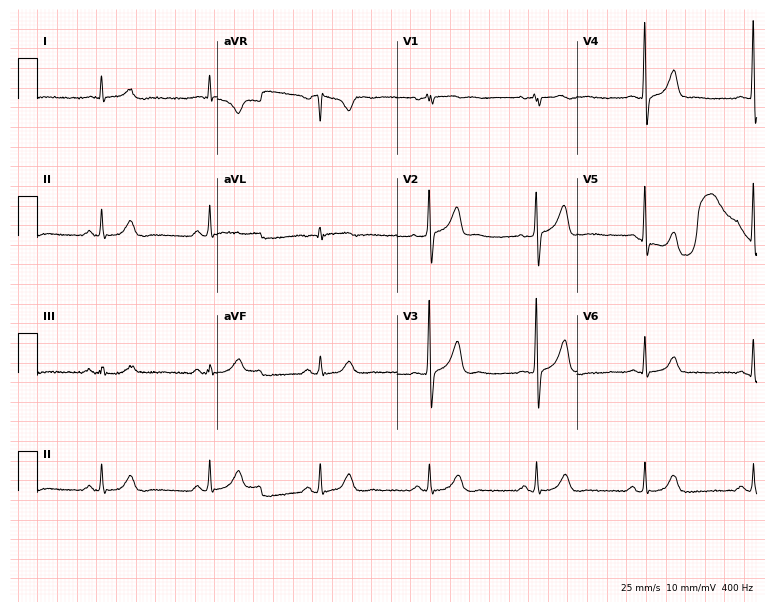
Resting 12-lead electrocardiogram (7.3-second recording at 400 Hz). Patient: a 57-year-old male. Read as a normal ECG.